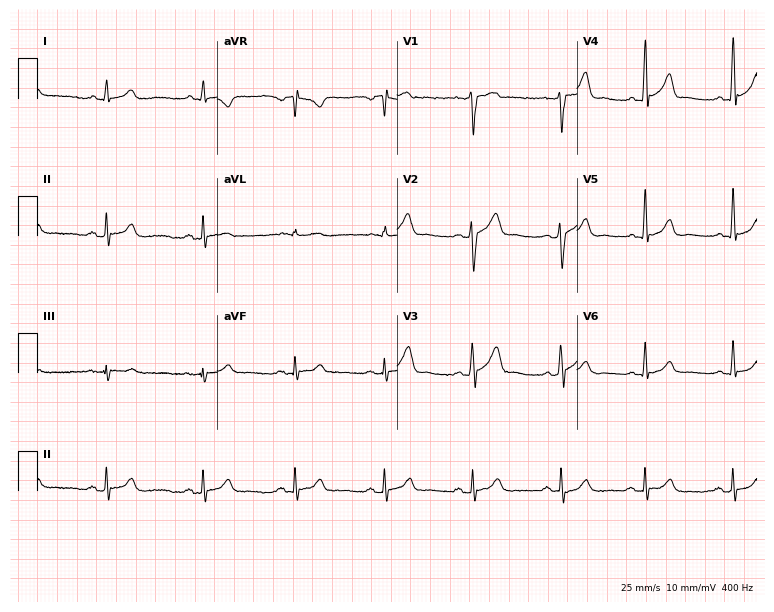
12-lead ECG from a 24-year-old man. Screened for six findings — first-degree AV block, right bundle branch block, left bundle branch block, sinus bradycardia, atrial fibrillation, sinus tachycardia — none is recorded. Findings outside these six are not listed.